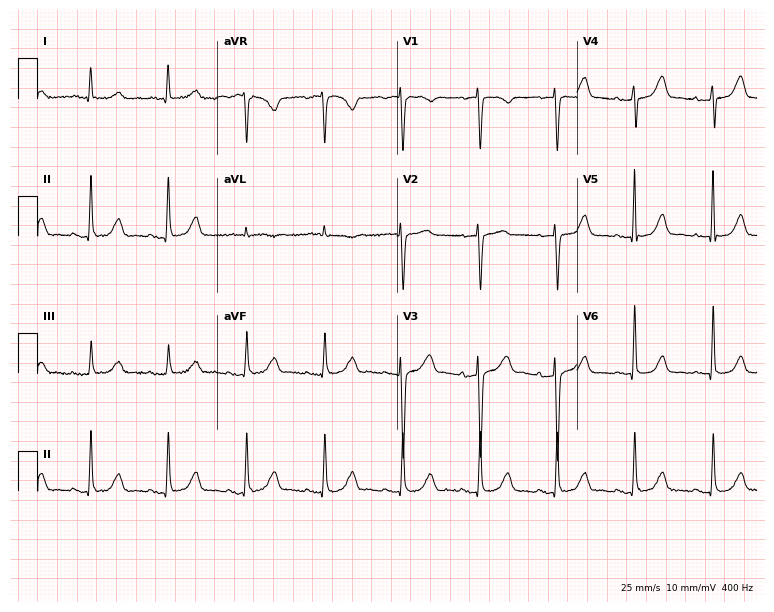
Standard 12-lead ECG recorded from an 83-year-old woman. Read as a normal ECG.